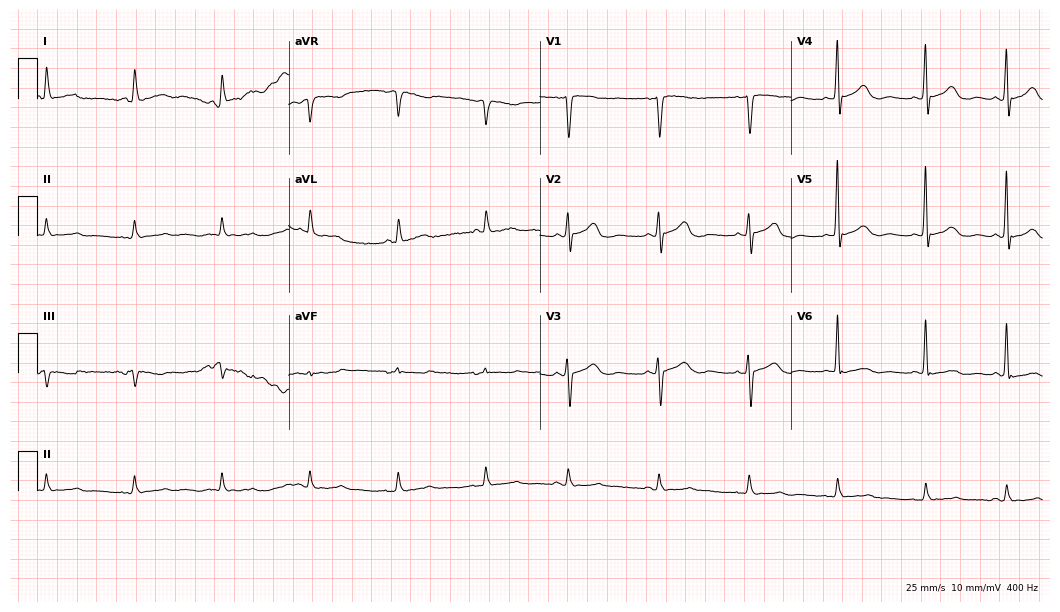
ECG (10.2-second recording at 400 Hz) — a female patient, 82 years old. Screened for six findings — first-degree AV block, right bundle branch block (RBBB), left bundle branch block (LBBB), sinus bradycardia, atrial fibrillation (AF), sinus tachycardia — none is recorded. Findings outside these six are not listed.